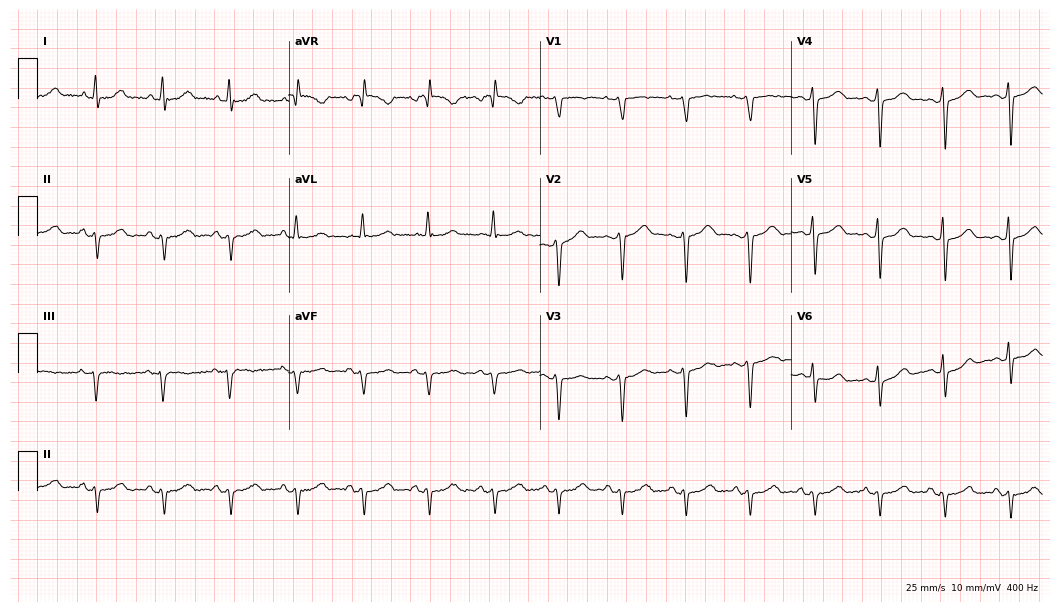
12-lead ECG from a woman, 55 years old (10.2-second recording at 400 Hz). No first-degree AV block, right bundle branch block, left bundle branch block, sinus bradycardia, atrial fibrillation or sinus tachycardia recorded for this tracing. Findings outside these six are not listed.